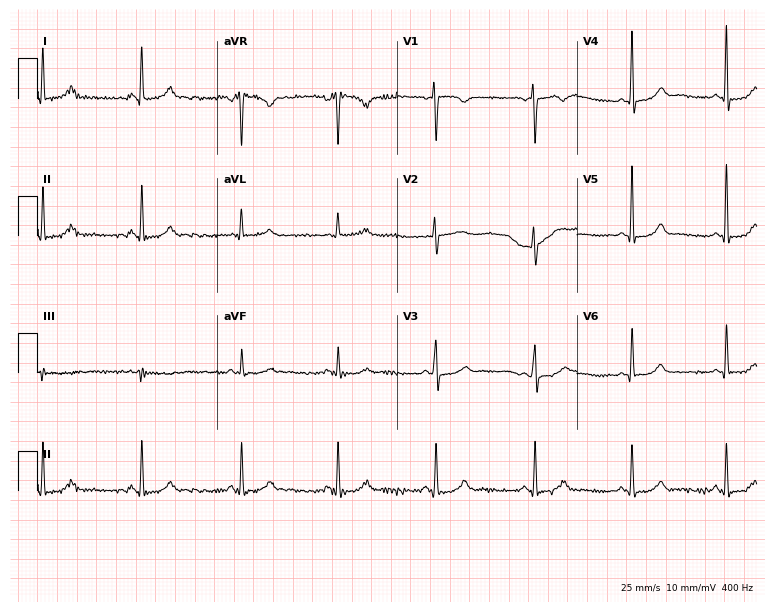
ECG (7.3-second recording at 400 Hz) — a female patient, 39 years old. Labelled as a normal ECG.